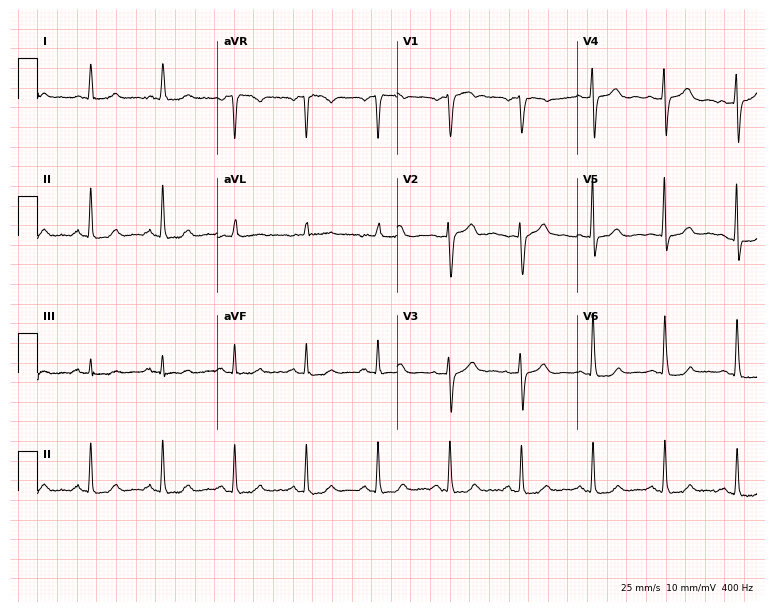
12-lead ECG (7.3-second recording at 400 Hz) from a woman, 79 years old. Screened for six findings — first-degree AV block, right bundle branch block, left bundle branch block, sinus bradycardia, atrial fibrillation, sinus tachycardia — none is recorded.